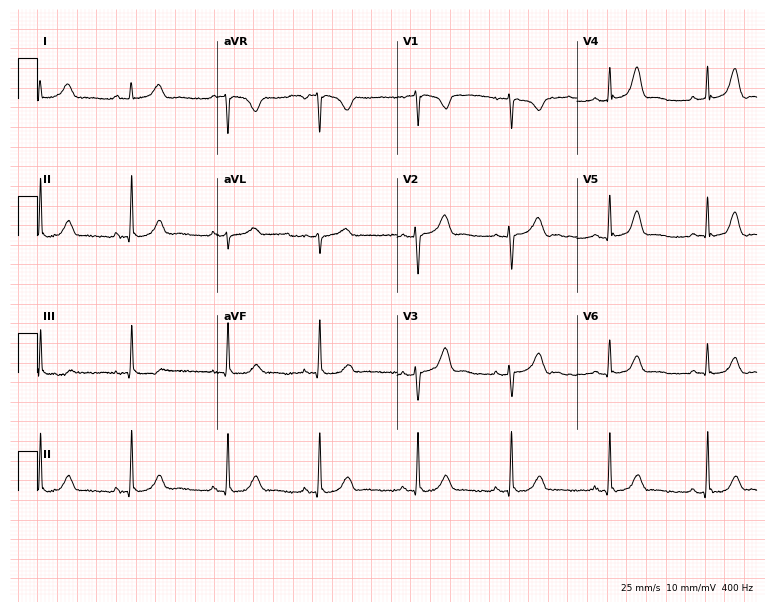
Standard 12-lead ECG recorded from a 31-year-old female patient. Read as a normal ECG.